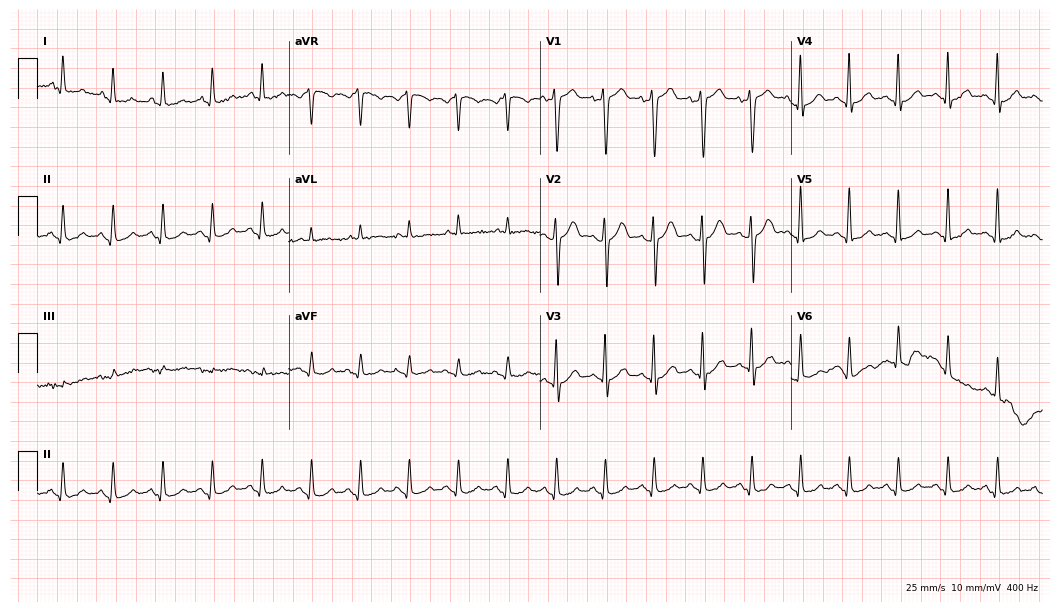
Electrocardiogram, a man, 55 years old. Interpretation includes sinus tachycardia (a sinus rate of 100 beats per minute or more).